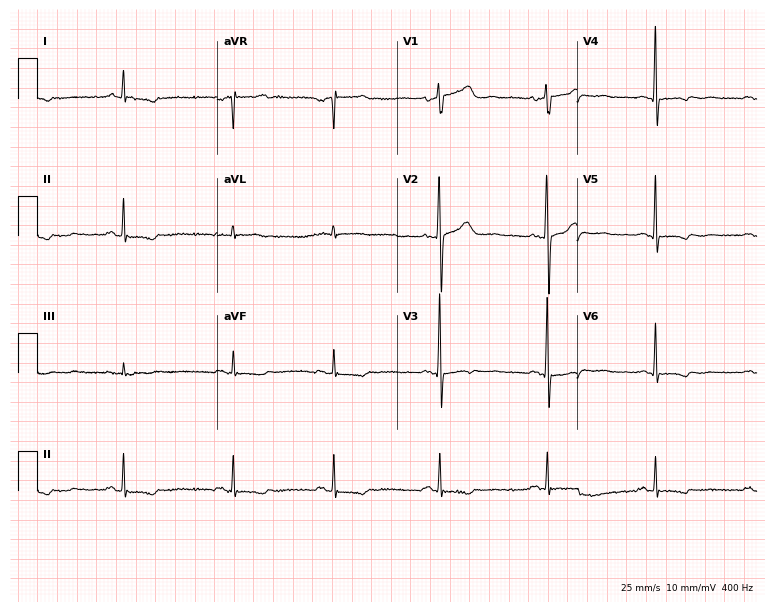
Resting 12-lead electrocardiogram (7.3-second recording at 400 Hz). Patient: a male, 47 years old. None of these six findings is recorded: first-degree AV block, right bundle branch block (RBBB), left bundle branch block (LBBB), sinus bradycardia, atrial fibrillation (AF), sinus tachycardia. Only these six findings were labelled.